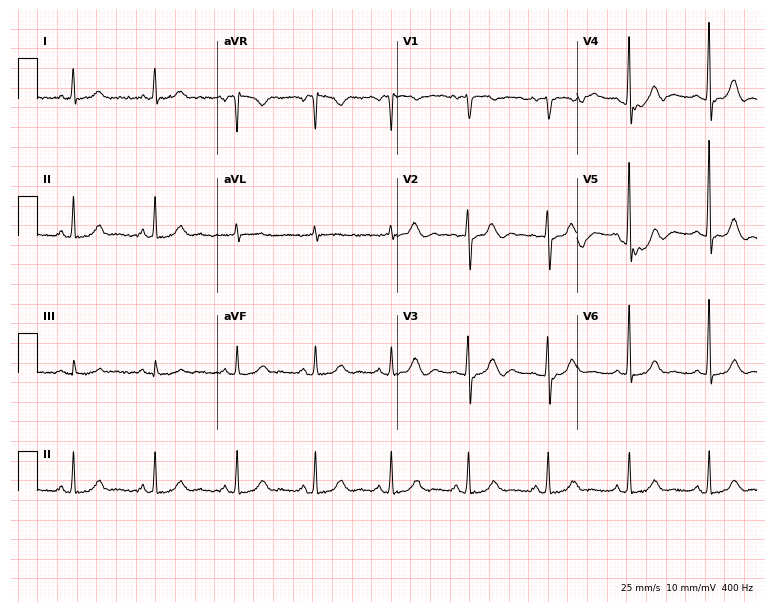
Electrocardiogram (7.3-second recording at 400 Hz), a female, 50 years old. Of the six screened findings (first-degree AV block, right bundle branch block, left bundle branch block, sinus bradycardia, atrial fibrillation, sinus tachycardia), none is recorded.